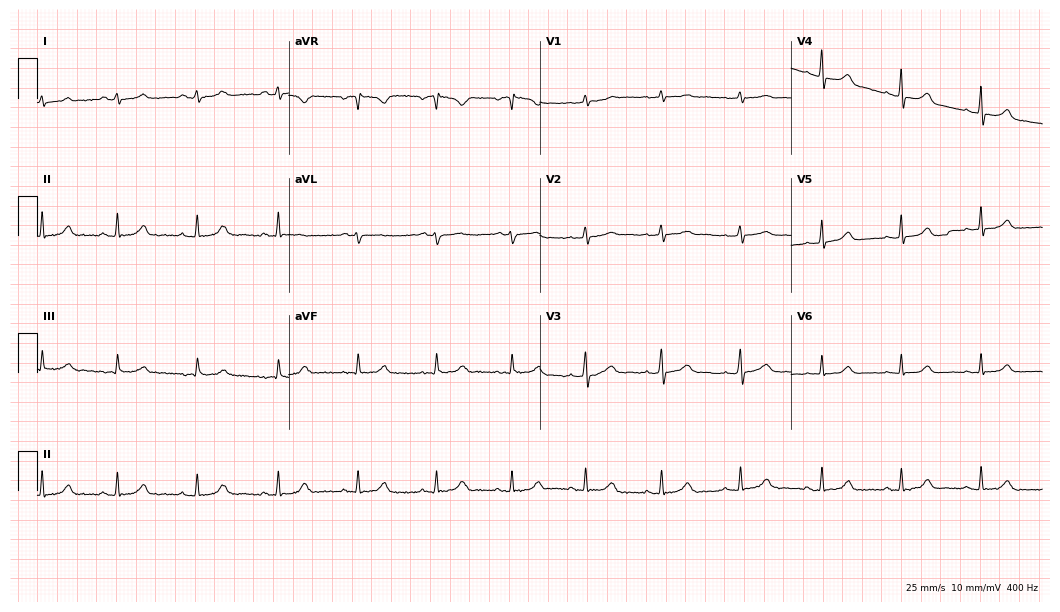
12-lead ECG from a woman, 24 years old. Screened for six findings — first-degree AV block, right bundle branch block, left bundle branch block, sinus bradycardia, atrial fibrillation, sinus tachycardia — none is recorded. Only these six findings were labelled.